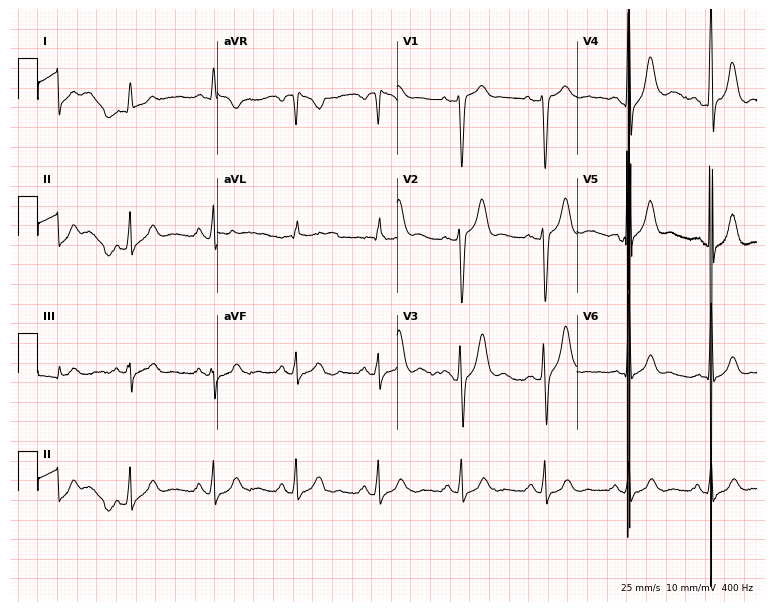
Electrocardiogram (7.3-second recording at 400 Hz), a 77-year-old male. Of the six screened findings (first-degree AV block, right bundle branch block, left bundle branch block, sinus bradycardia, atrial fibrillation, sinus tachycardia), none is recorded. Findings outside these six are not listed.